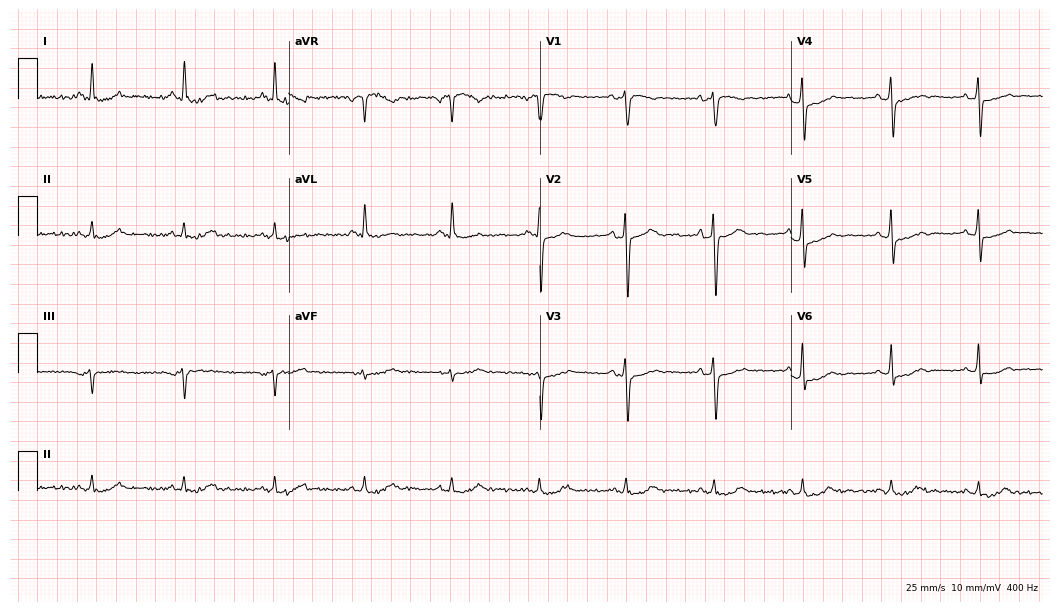
Standard 12-lead ECG recorded from a male patient, 75 years old. None of these six findings is recorded: first-degree AV block, right bundle branch block (RBBB), left bundle branch block (LBBB), sinus bradycardia, atrial fibrillation (AF), sinus tachycardia.